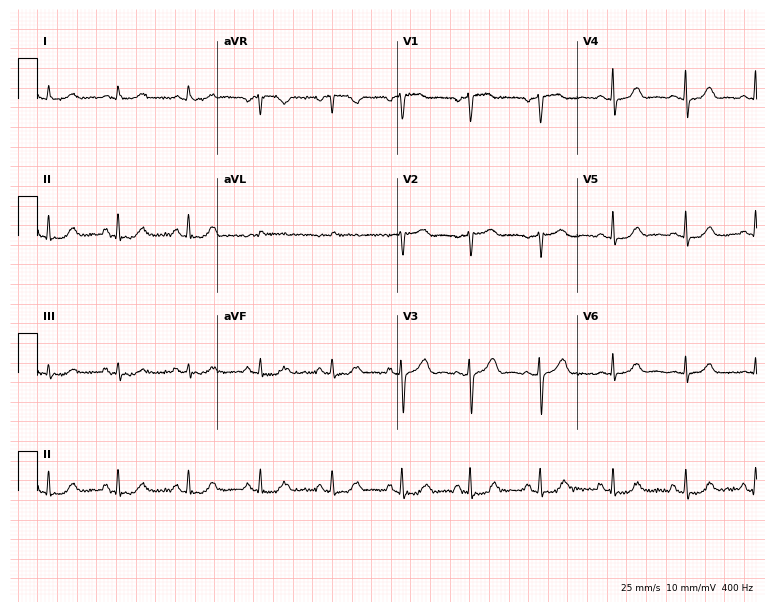
Resting 12-lead electrocardiogram (7.3-second recording at 400 Hz). Patient: a 63-year-old female. Read as a normal ECG.